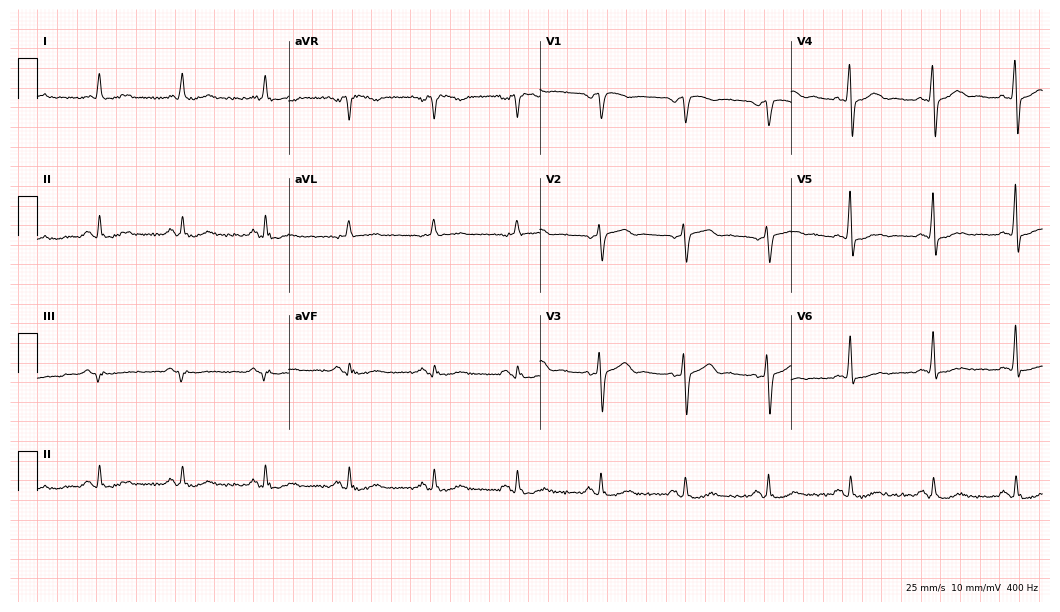
Electrocardiogram (10.2-second recording at 400 Hz), a 59-year-old man. Overall reading on record: normal ECG.